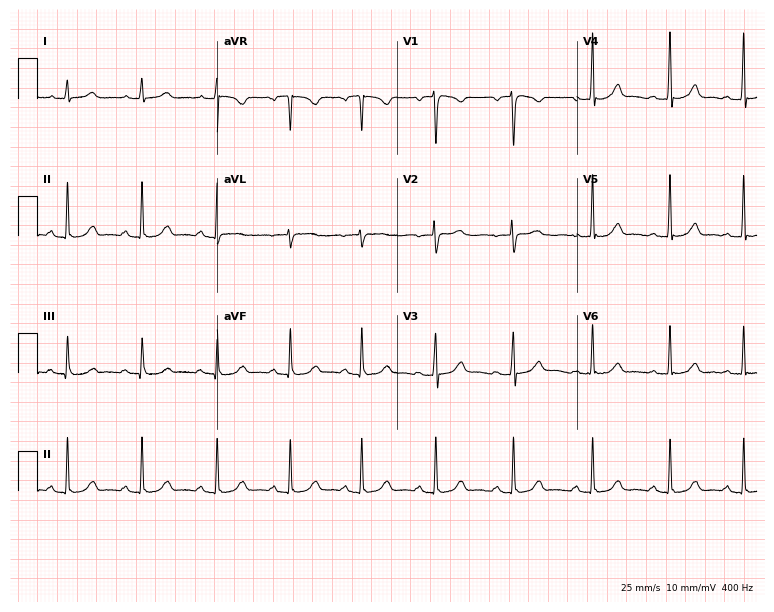
12-lead ECG from a 33-year-old female (7.3-second recording at 400 Hz). Recorded interpretation: within normal limits.